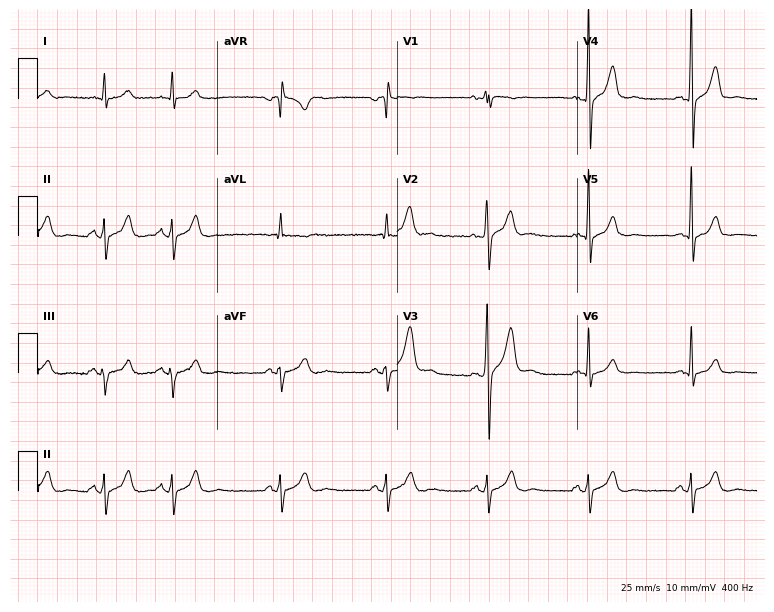
12-lead ECG from a male patient, 32 years old (7.3-second recording at 400 Hz). No first-degree AV block, right bundle branch block, left bundle branch block, sinus bradycardia, atrial fibrillation or sinus tachycardia recorded for this tracing.